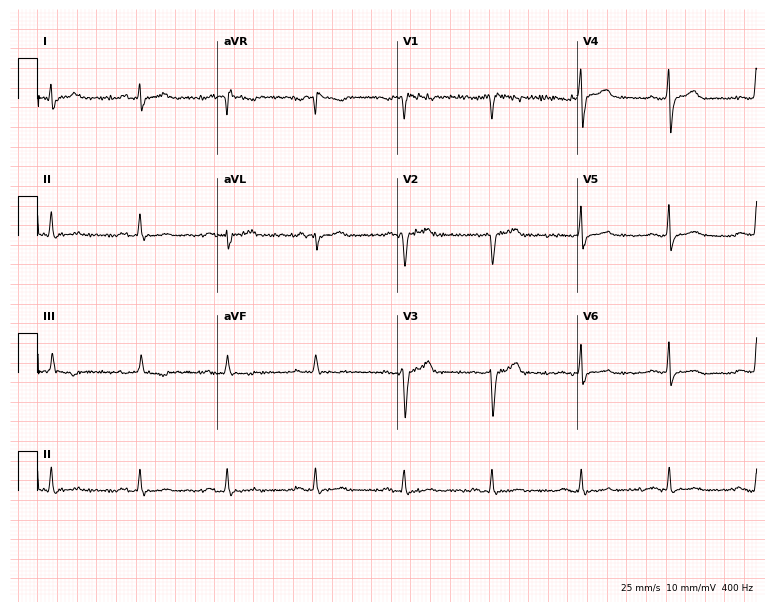
12-lead ECG from a 53-year-old man (7.3-second recording at 400 Hz). No first-degree AV block, right bundle branch block (RBBB), left bundle branch block (LBBB), sinus bradycardia, atrial fibrillation (AF) or sinus tachycardia recorded for this tracing.